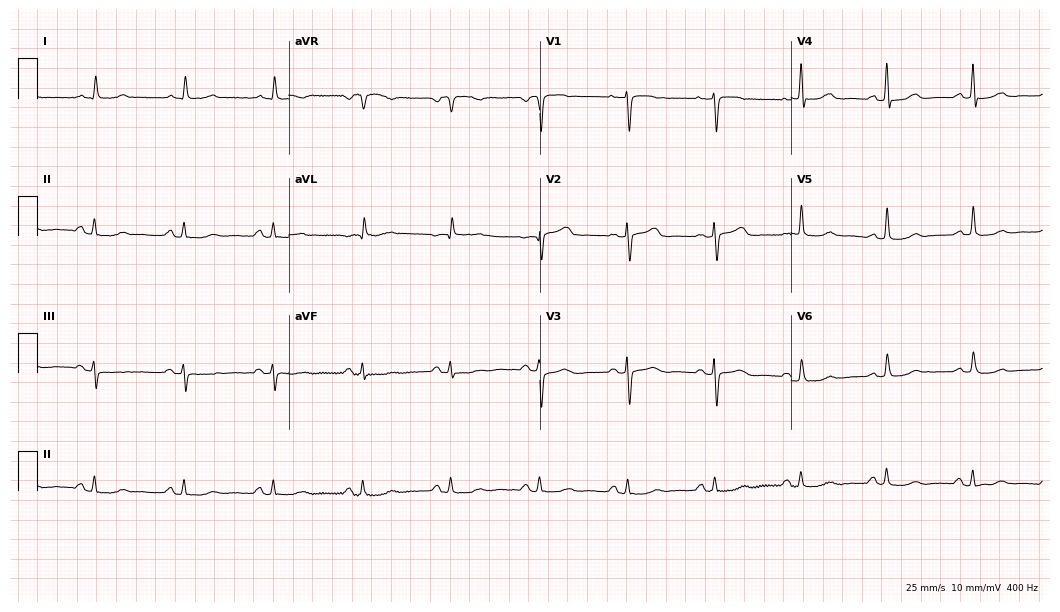
Electrocardiogram, a 79-year-old female. Overall reading on record: normal ECG.